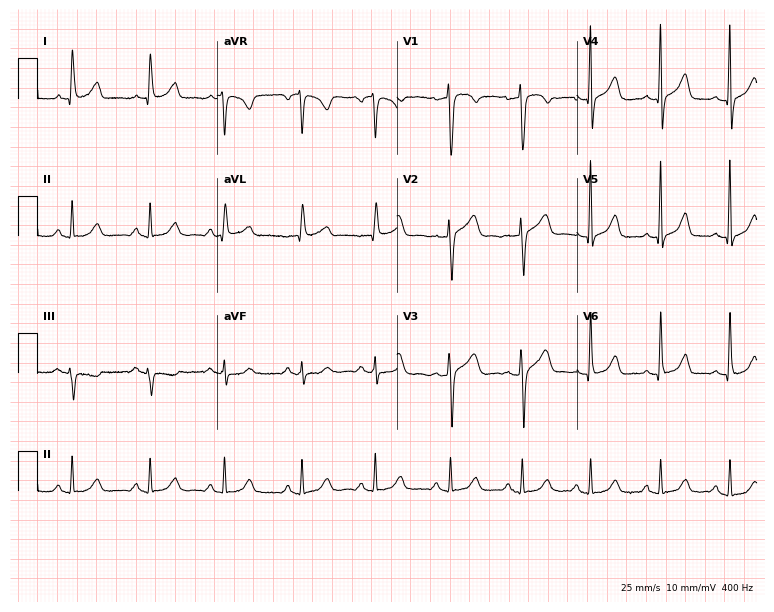
Electrocardiogram (7.3-second recording at 400 Hz), a 49-year-old female patient. Overall reading on record: normal ECG.